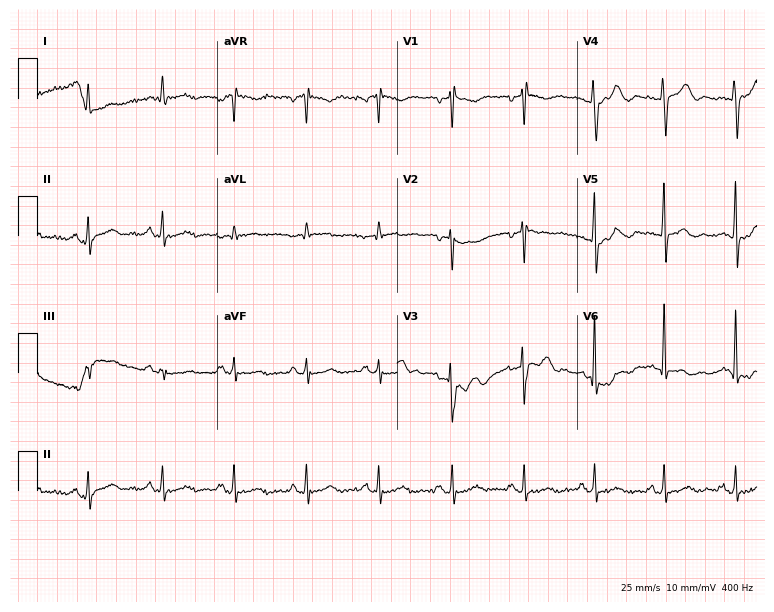
12-lead ECG from a male patient, 73 years old. No first-degree AV block, right bundle branch block, left bundle branch block, sinus bradycardia, atrial fibrillation or sinus tachycardia recorded for this tracing. Only these six findings were labelled.